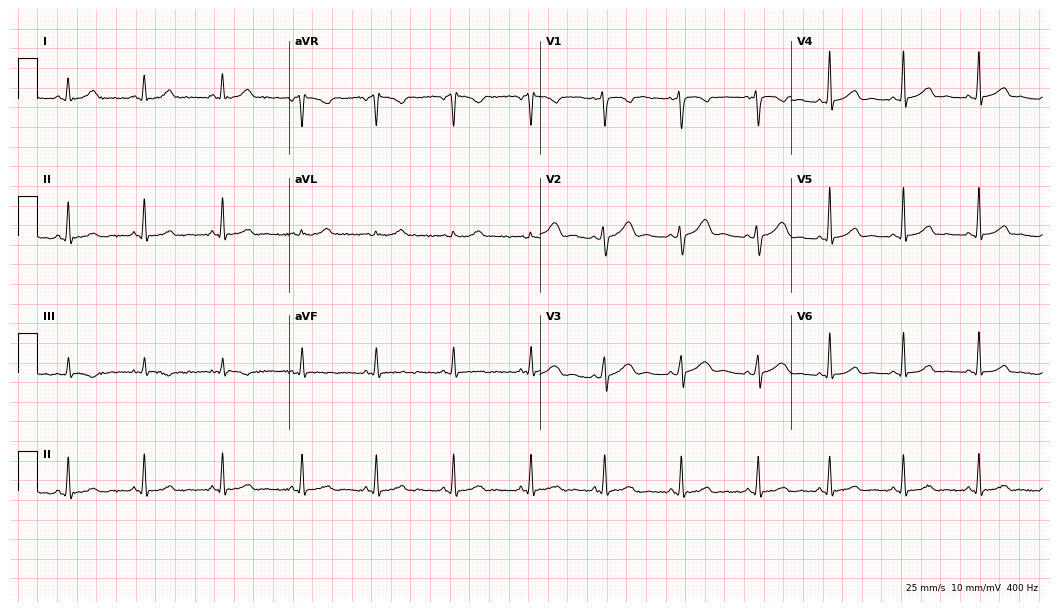
12-lead ECG from a 39-year-old female patient (10.2-second recording at 400 Hz). No first-degree AV block, right bundle branch block, left bundle branch block, sinus bradycardia, atrial fibrillation or sinus tachycardia recorded for this tracing. Other findings, if any, are not listed.